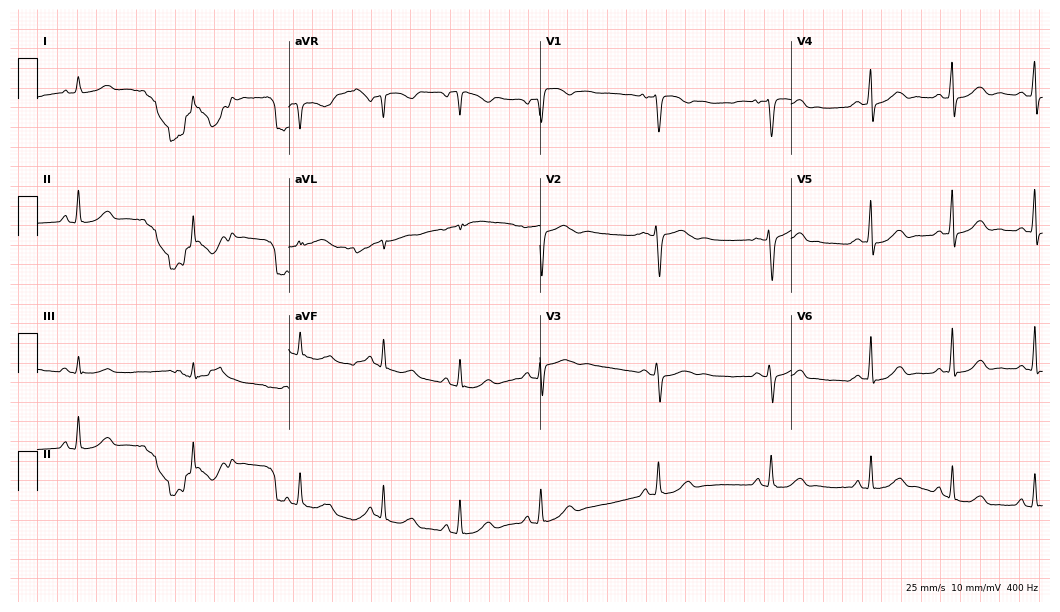
12-lead ECG from a 41-year-old female patient. Labelled as a normal ECG.